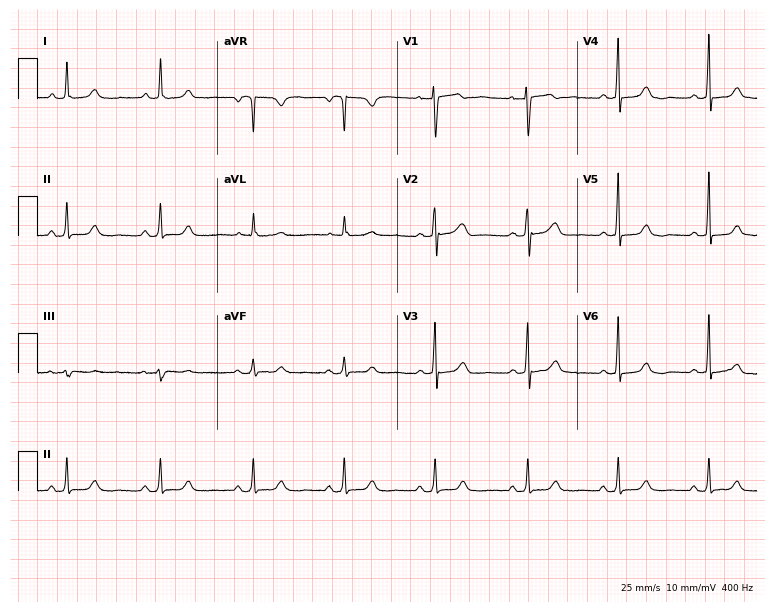
12-lead ECG from a 57-year-old female patient. Screened for six findings — first-degree AV block, right bundle branch block, left bundle branch block, sinus bradycardia, atrial fibrillation, sinus tachycardia — none is recorded.